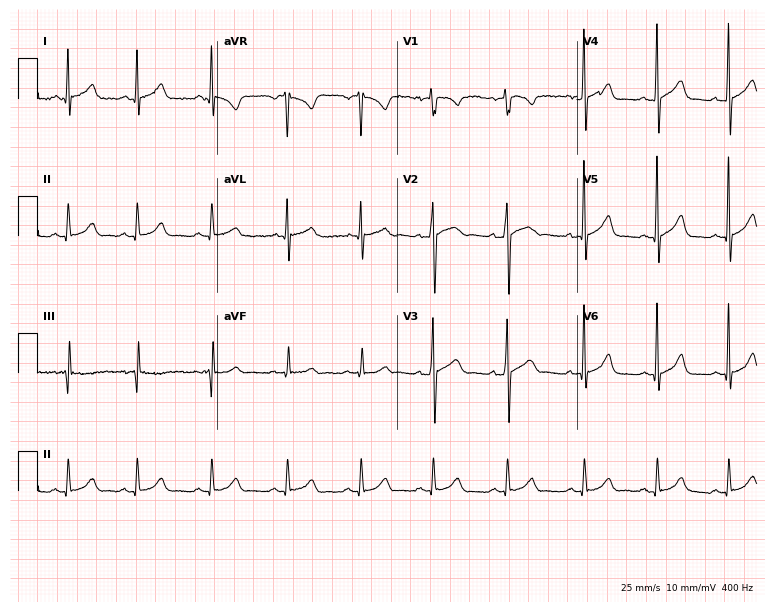
12-lead ECG from a male, 54 years old. Labelled as a normal ECG.